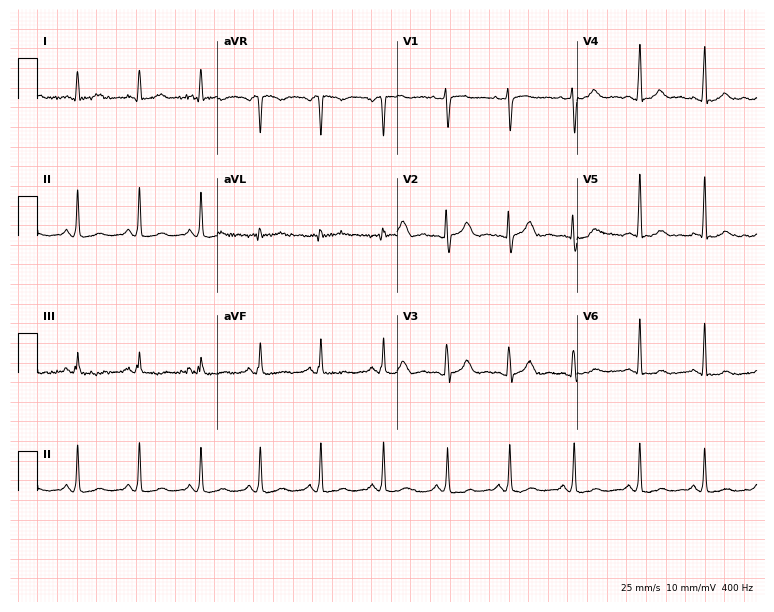
12-lead ECG from a woman, 33 years old (7.3-second recording at 400 Hz). No first-degree AV block, right bundle branch block (RBBB), left bundle branch block (LBBB), sinus bradycardia, atrial fibrillation (AF) or sinus tachycardia recorded for this tracing.